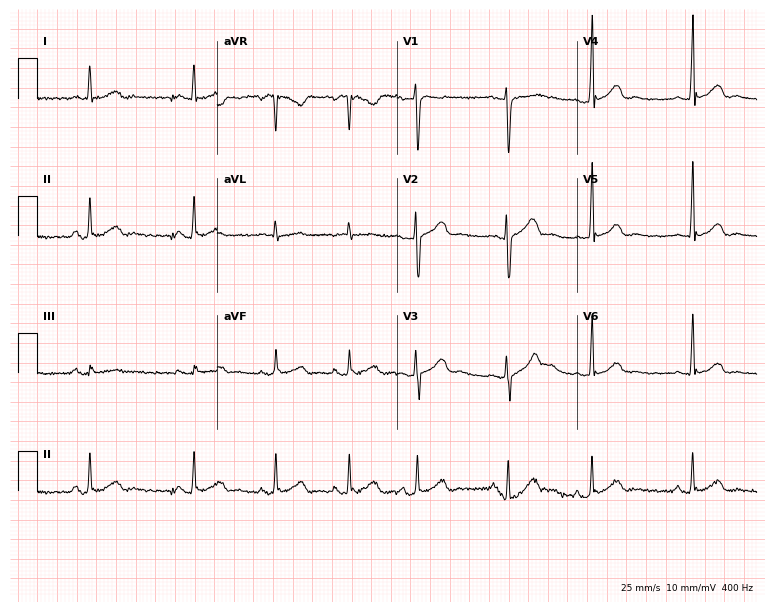
Electrocardiogram, a female, 22 years old. Overall reading on record: normal ECG.